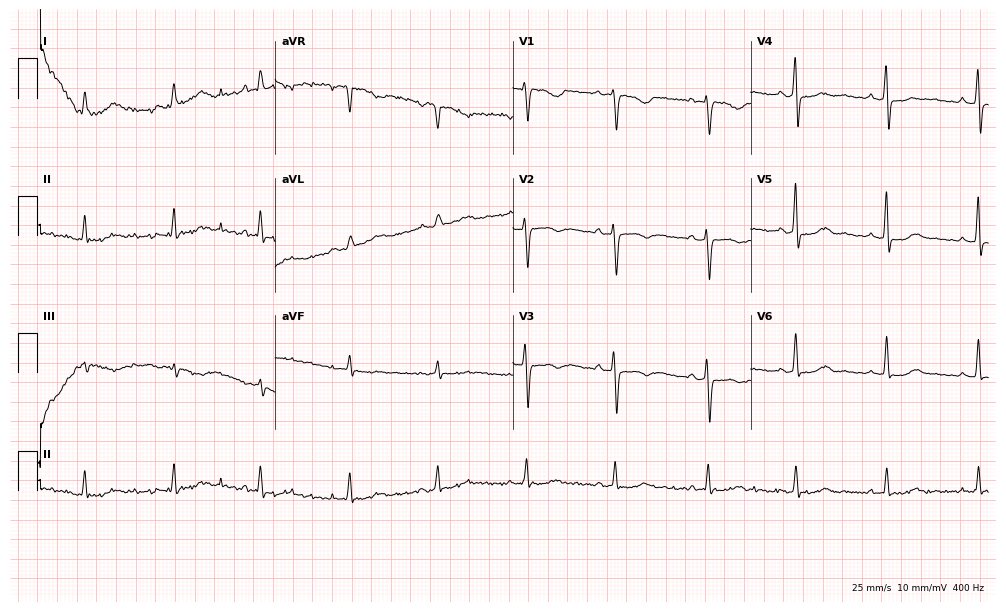
12-lead ECG (9.7-second recording at 400 Hz) from a 45-year-old female patient. Screened for six findings — first-degree AV block, right bundle branch block (RBBB), left bundle branch block (LBBB), sinus bradycardia, atrial fibrillation (AF), sinus tachycardia — none is recorded. Other findings, if any, are not listed.